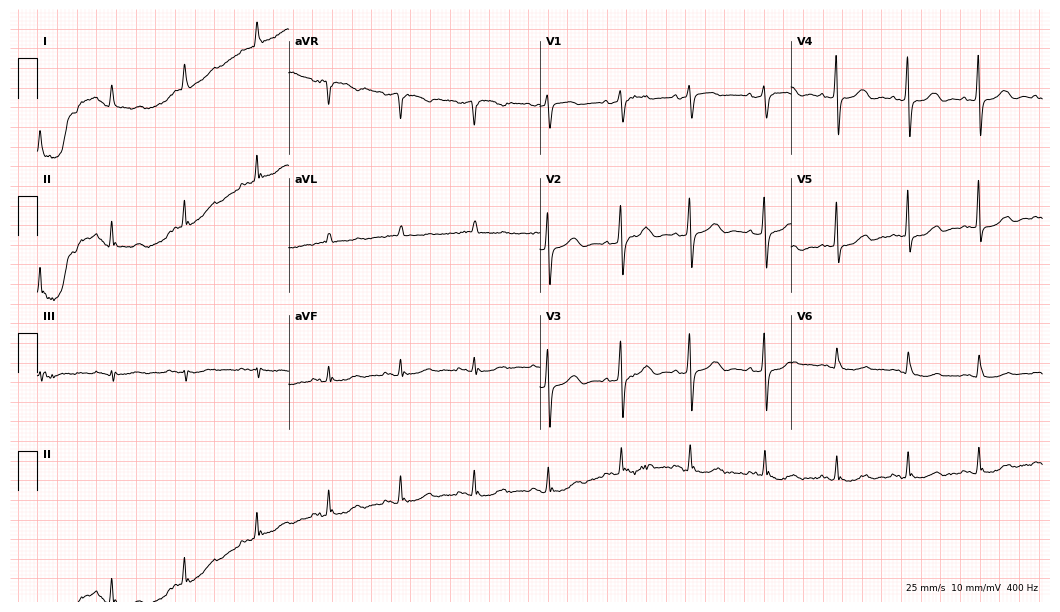
Standard 12-lead ECG recorded from a woman, 77 years old (10.2-second recording at 400 Hz). None of these six findings is recorded: first-degree AV block, right bundle branch block, left bundle branch block, sinus bradycardia, atrial fibrillation, sinus tachycardia.